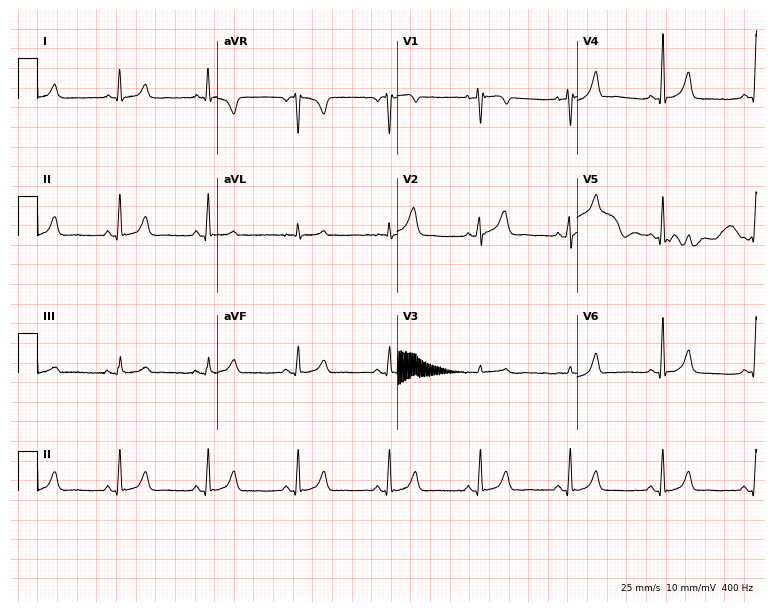
Resting 12-lead electrocardiogram (7.3-second recording at 400 Hz). Patient: a female, 49 years old. Read as a normal ECG.